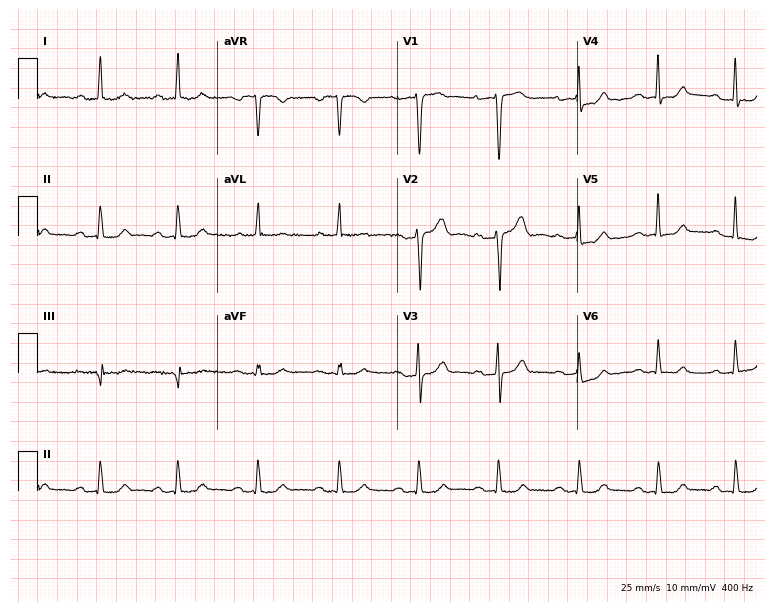
12-lead ECG from a female, 46 years old (7.3-second recording at 400 Hz). No first-degree AV block, right bundle branch block (RBBB), left bundle branch block (LBBB), sinus bradycardia, atrial fibrillation (AF) or sinus tachycardia recorded for this tracing.